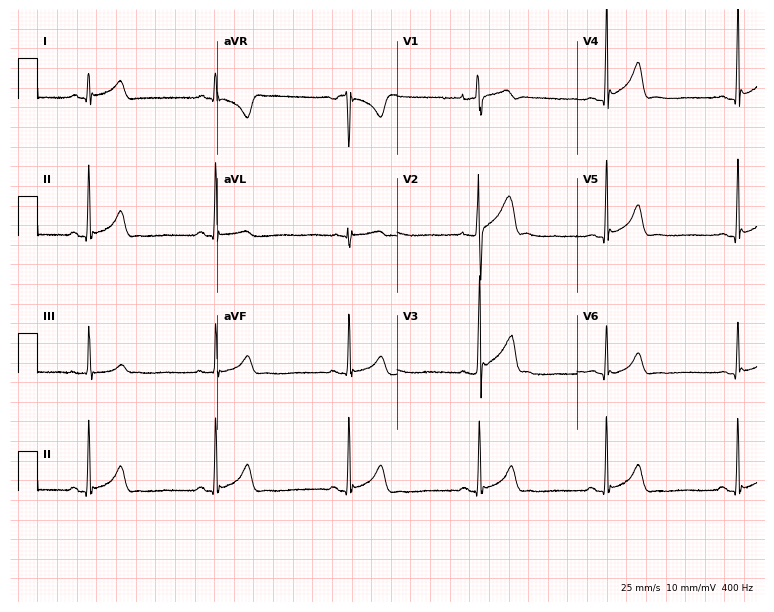
Resting 12-lead electrocardiogram (7.3-second recording at 400 Hz). Patient: a man, 25 years old. Read as a normal ECG.